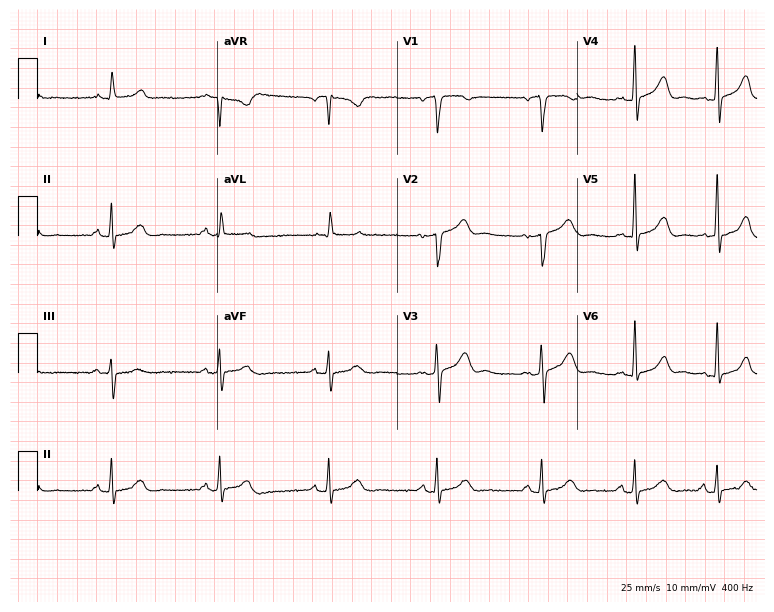
ECG — a male patient, 49 years old. Screened for six findings — first-degree AV block, right bundle branch block (RBBB), left bundle branch block (LBBB), sinus bradycardia, atrial fibrillation (AF), sinus tachycardia — none is recorded.